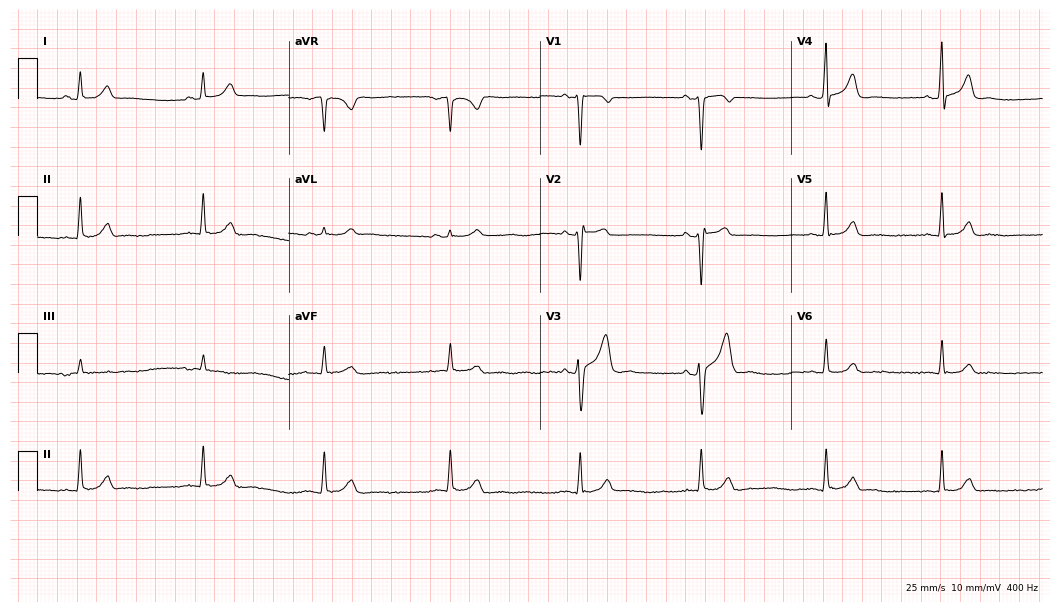
12-lead ECG from a 35-year-old man (10.2-second recording at 400 Hz). No first-degree AV block, right bundle branch block, left bundle branch block, sinus bradycardia, atrial fibrillation or sinus tachycardia recorded for this tracing. Findings outside these six are not listed.